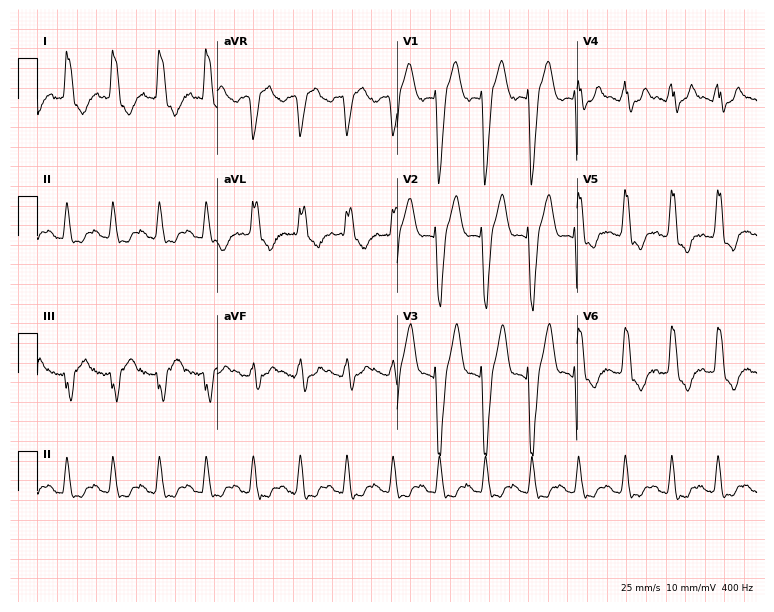
12-lead ECG from a woman, 63 years old. Findings include left bundle branch block, sinus tachycardia (a sinus rate of 100 beats per minute or more).